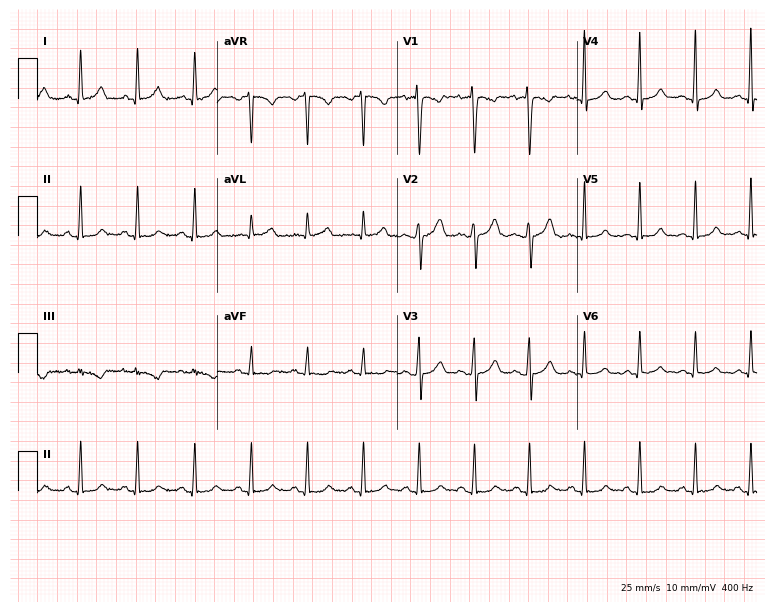
ECG (7.3-second recording at 400 Hz) — a woman, 39 years old. Screened for six findings — first-degree AV block, right bundle branch block (RBBB), left bundle branch block (LBBB), sinus bradycardia, atrial fibrillation (AF), sinus tachycardia — none is recorded.